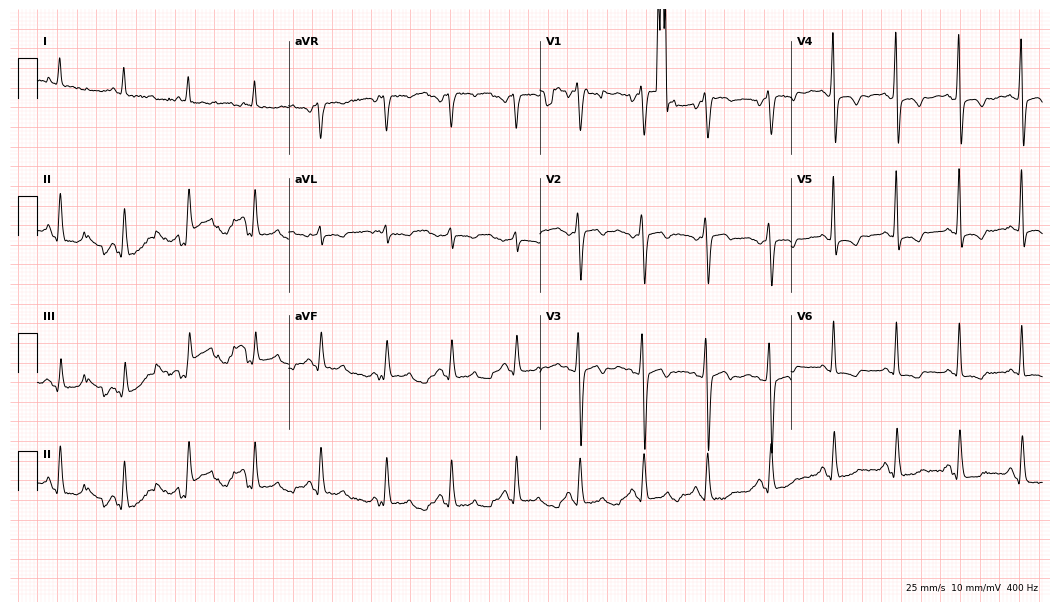
Electrocardiogram, a female patient, 66 years old. Of the six screened findings (first-degree AV block, right bundle branch block (RBBB), left bundle branch block (LBBB), sinus bradycardia, atrial fibrillation (AF), sinus tachycardia), none is recorded. Findings outside these six are not listed.